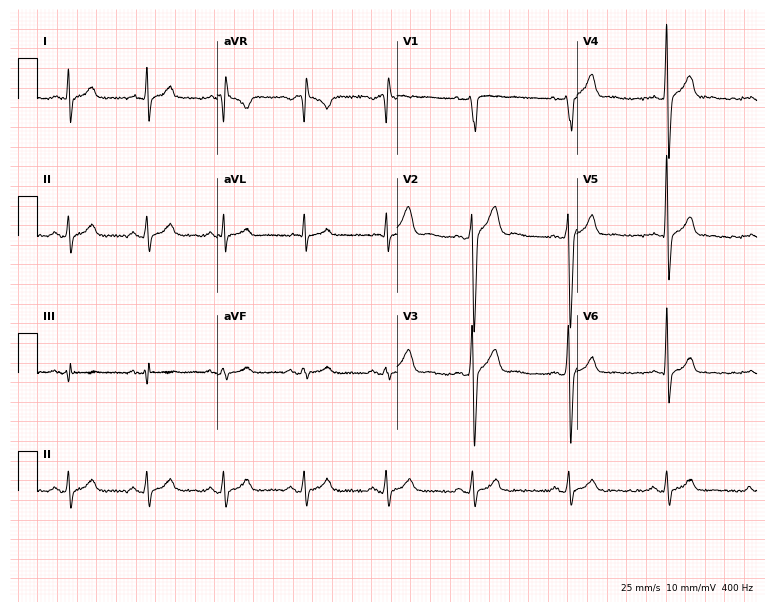
Resting 12-lead electrocardiogram. Patient: a 35-year-old man. None of these six findings is recorded: first-degree AV block, right bundle branch block (RBBB), left bundle branch block (LBBB), sinus bradycardia, atrial fibrillation (AF), sinus tachycardia.